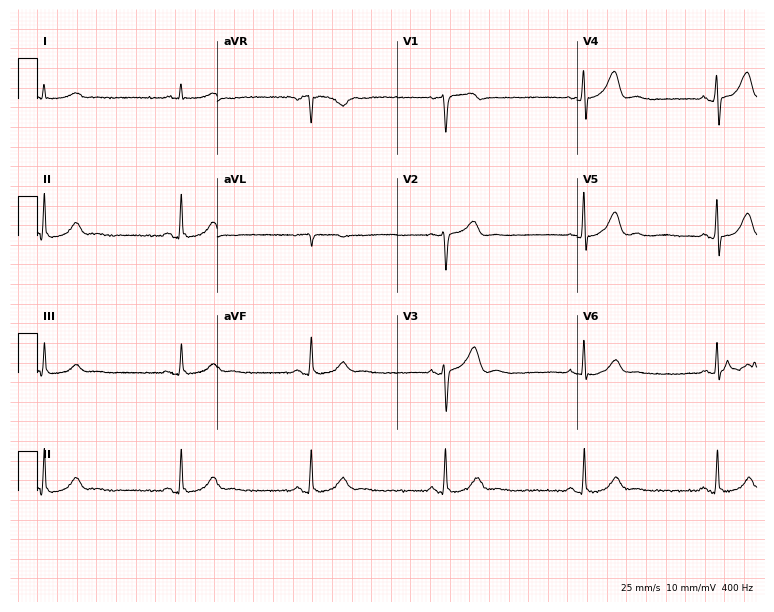
Resting 12-lead electrocardiogram. Patient: a 56-year-old man. None of these six findings is recorded: first-degree AV block, right bundle branch block (RBBB), left bundle branch block (LBBB), sinus bradycardia, atrial fibrillation (AF), sinus tachycardia. Only these six findings were labelled.